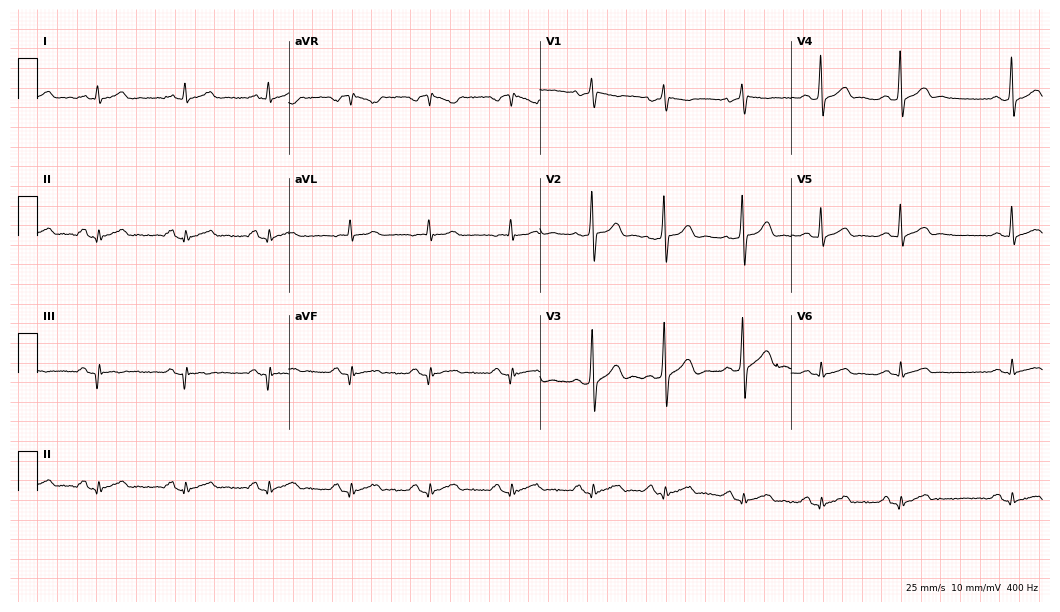
ECG — a 33-year-old male patient. Screened for six findings — first-degree AV block, right bundle branch block, left bundle branch block, sinus bradycardia, atrial fibrillation, sinus tachycardia — none is recorded. Findings outside these six are not listed.